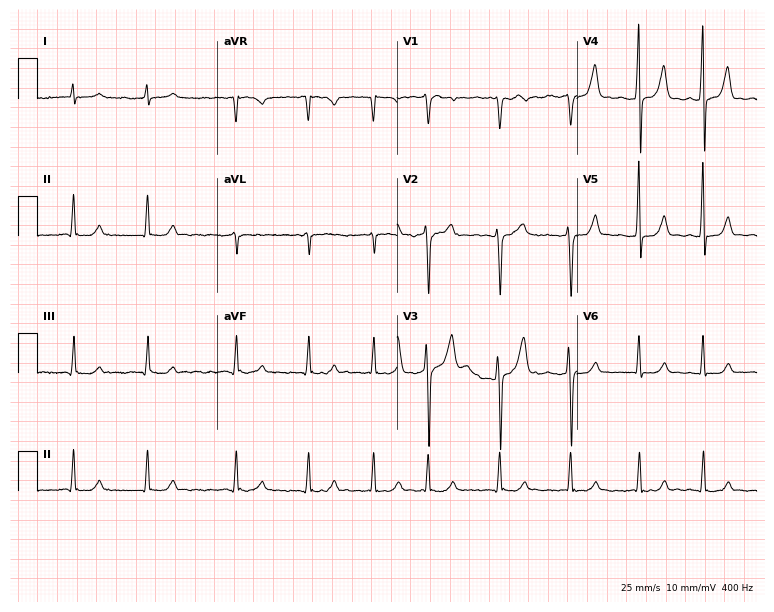
Resting 12-lead electrocardiogram. Patient: a male, 66 years old. The tracing shows atrial fibrillation.